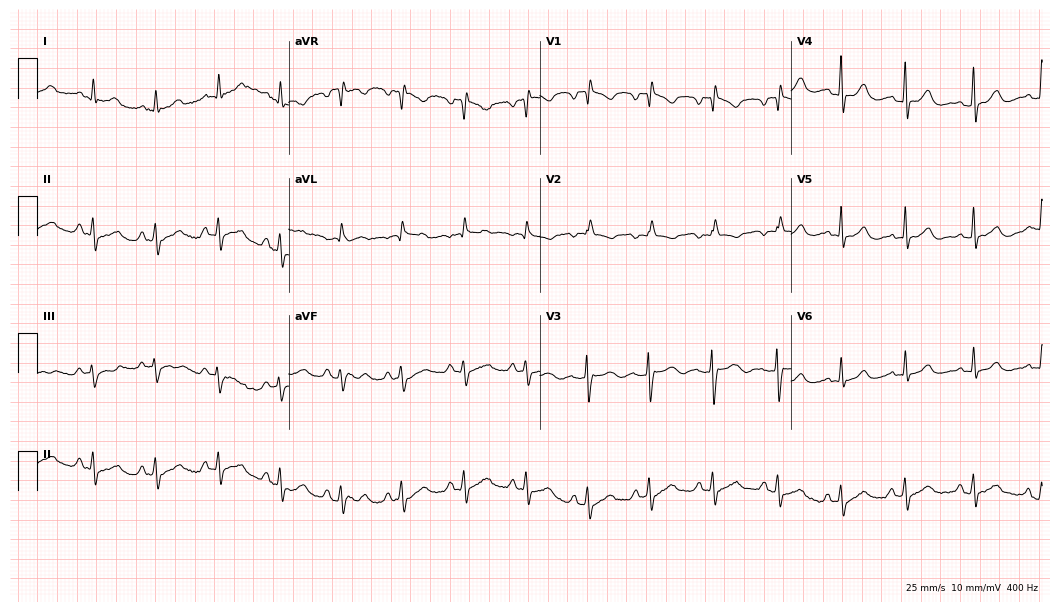
Standard 12-lead ECG recorded from a 20-year-old female patient. None of these six findings is recorded: first-degree AV block, right bundle branch block, left bundle branch block, sinus bradycardia, atrial fibrillation, sinus tachycardia. Findings outside these six are not listed.